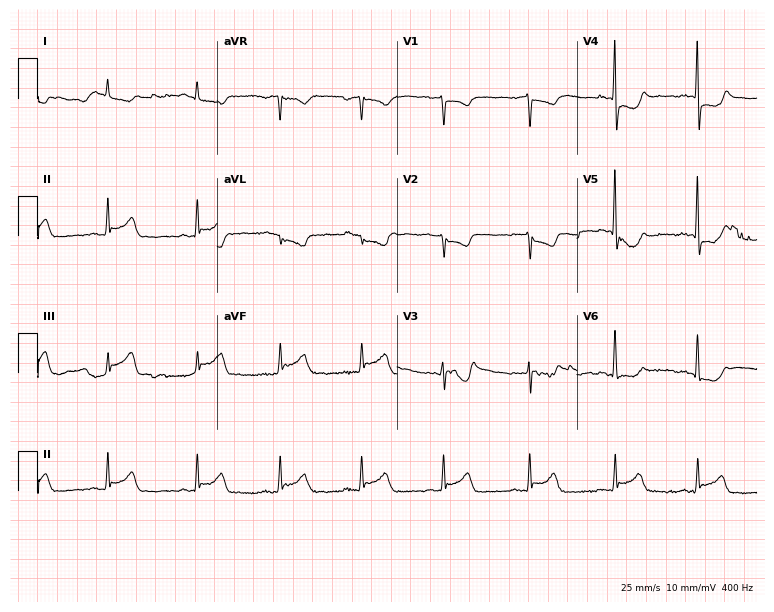
ECG — a 45-year-old male. Screened for six findings — first-degree AV block, right bundle branch block, left bundle branch block, sinus bradycardia, atrial fibrillation, sinus tachycardia — none is recorded.